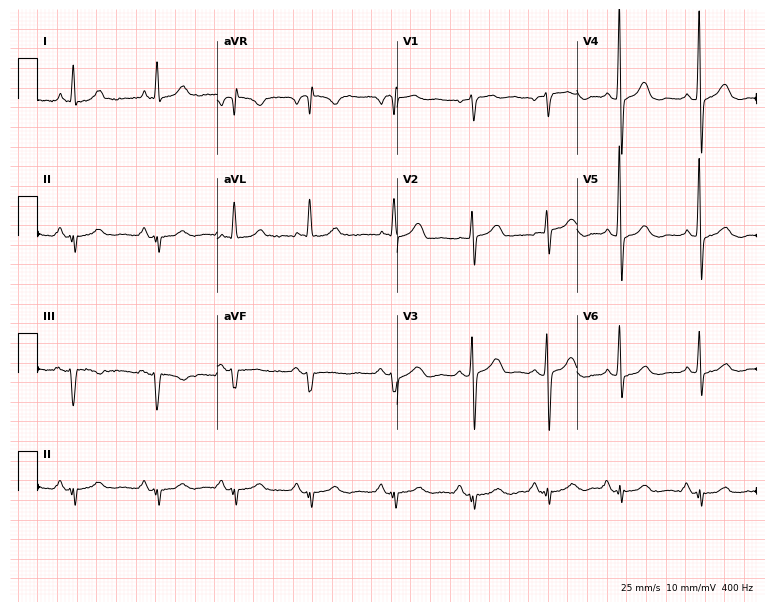
Standard 12-lead ECG recorded from a female, 60 years old (7.3-second recording at 400 Hz). None of these six findings is recorded: first-degree AV block, right bundle branch block (RBBB), left bundle branch block (LBBB), sinus bradycardia, atrial fibrillation (AF), sinus tachycardia.